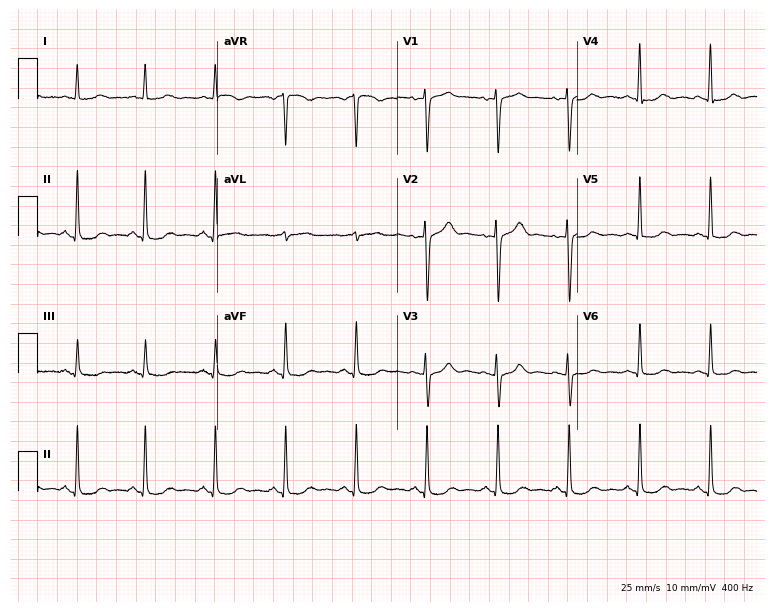
12-lead ECG from a female patient, 54 years old. No first-degree AV block, right bundle branch block (RBBB), left bundle branch block (LBBB), sinus bradycardia, atrial fibrillation (AF) or sinus tachycardia recorded for this tracing.